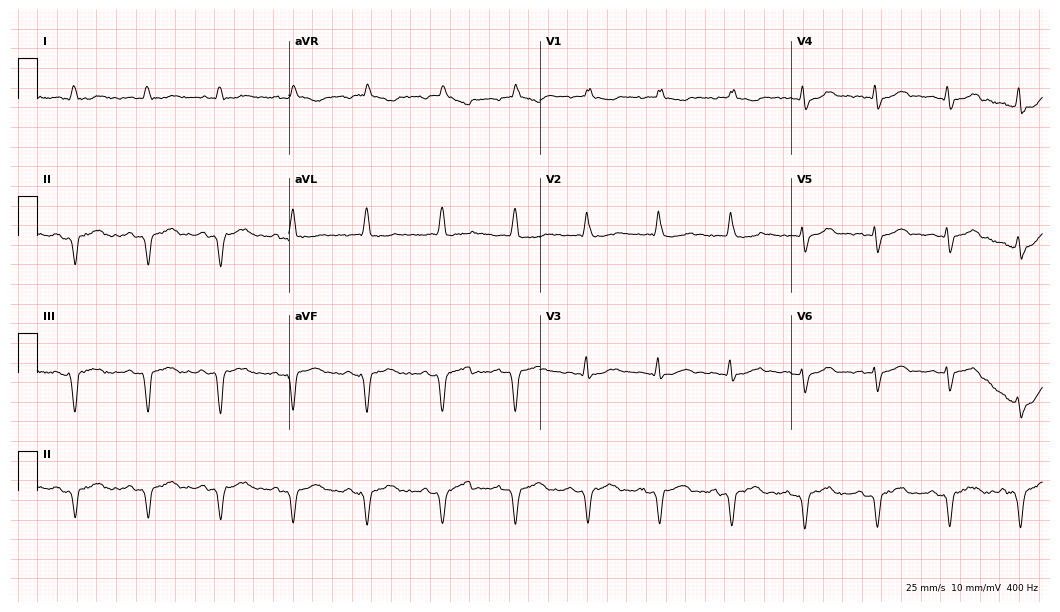
ECG (10.2-second recording at 400 Hz) — an 82-year-old female patient. Screened for six findings — first-degree AV block, right bundle branch block, left bundle branch block, sinus bradycardia, atrial fibrillation, sinus tachycardia — none is recorded. Findings outside these six are not listed.